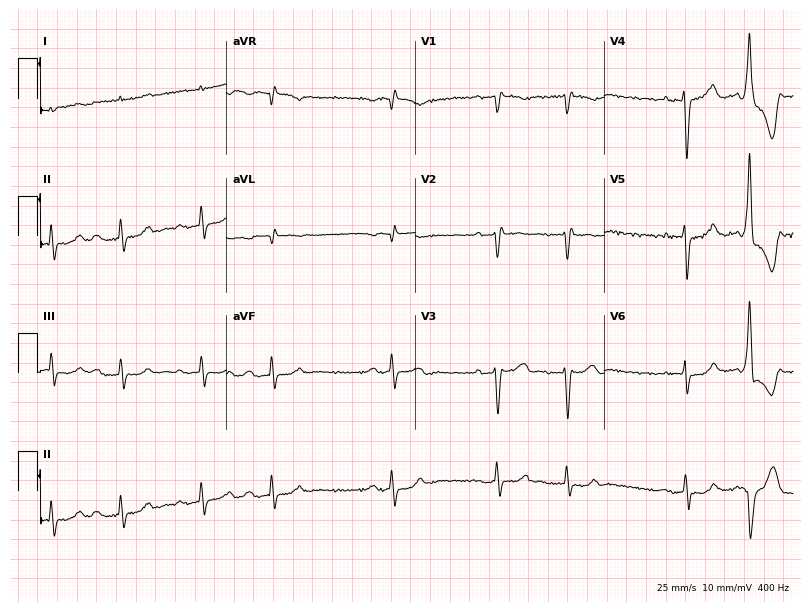
ECG (7.7-second recording at 400 Hz) — a man, 84 years old. Findings include first-degree AV block, atrial fibrillation.